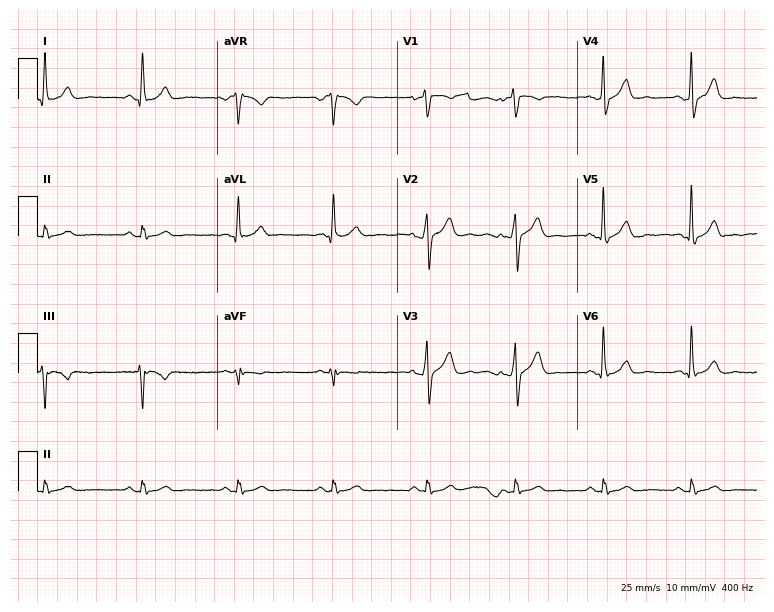
12-lead ECG from a male, 33 years old. Recorded interpretation: within normal limits.